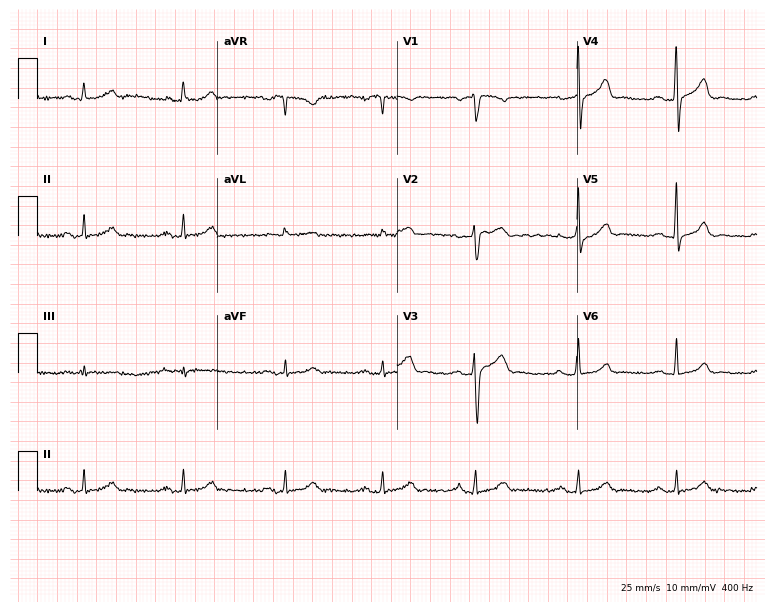
Electrocardiogram (7.3-second recording at 400 Hz), a 52-year-old man. Overall reading on record: normal ECG.